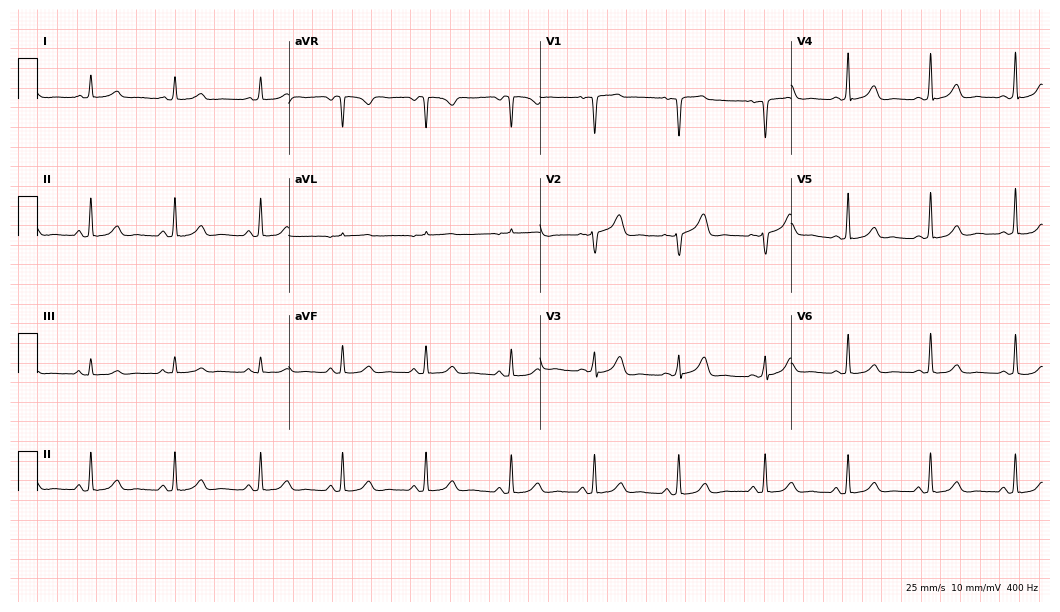
Resting 12-lead electrocardiogram. Patient: a 49-year-old female. Read as a normal ECG.